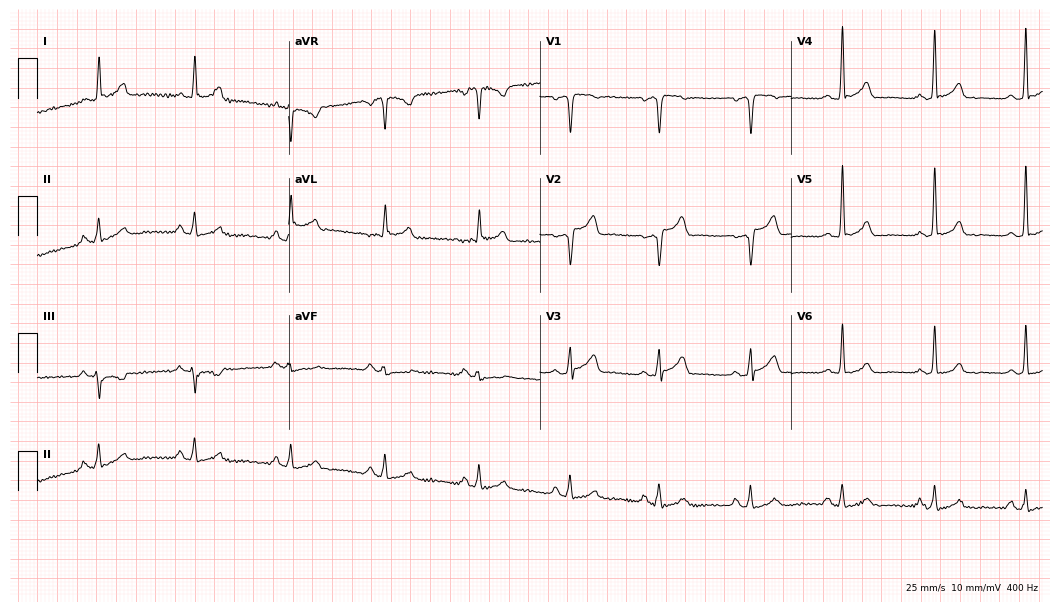
ECG (10.2-second recording at 400 Hz) — a male patient, 39 years old. Labelled as a normal ECG.